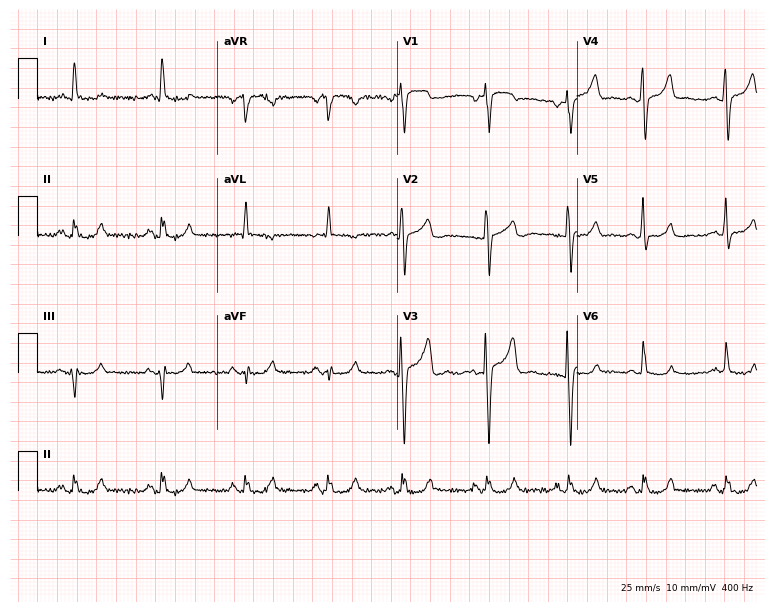
ECG (7.3-second recording at 400 Hz) — an 81-year-old man. Screened for six findings — first-degree AV block, right bundle branch block, left bundle branch block, sinus bradycardia, atrial fibrillation, sinus tachycardia — none is recorded. Only these six findings were labelled.